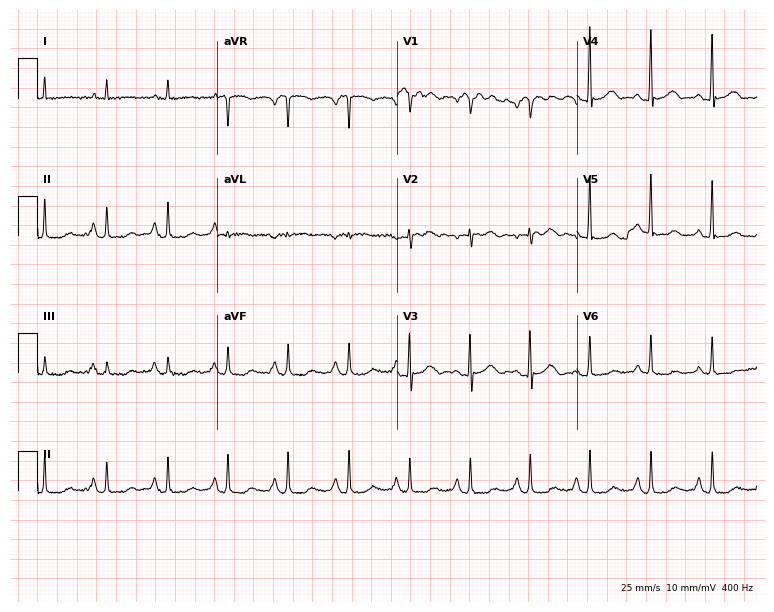
Standard 12-lead ECG recorded from a female, 81 years old (7.3-second recording at 400 Hz). None of these six findings is recorded: first-degree AV block, right bundle branch block (RBBB), left bundle branch block (LBBB), sinus bradycardia, atrial fibrillation (AF), sinus tachycardia.